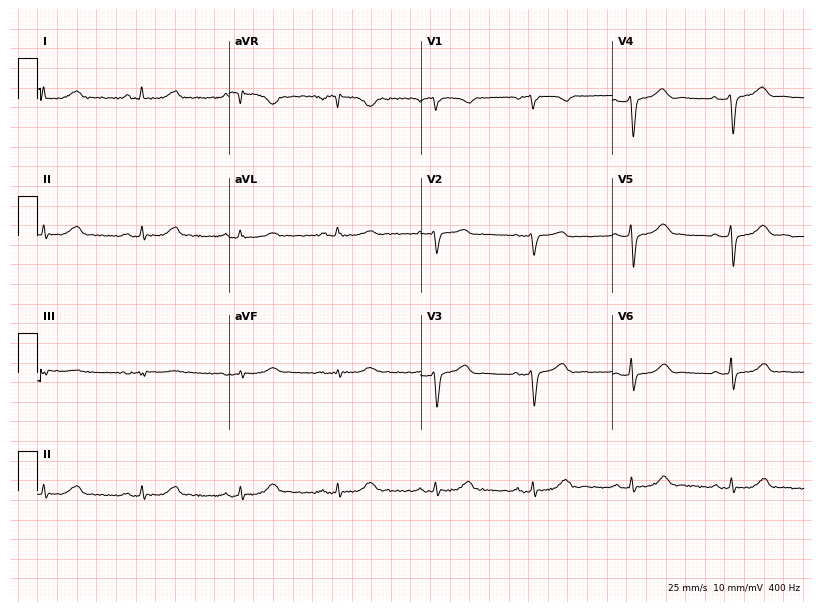
Electrocardiogram (7.8-second recording at 400 Hz), a female, 62 years old. Overall reading on record: normal ECG.